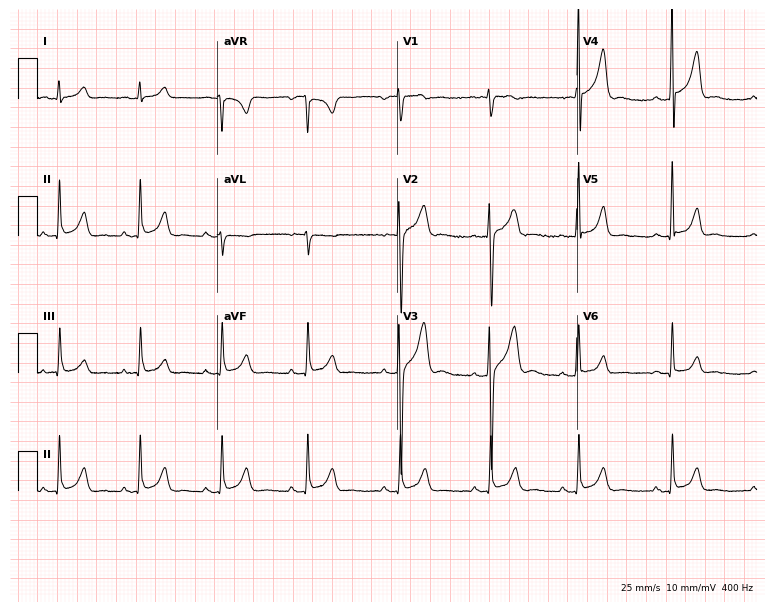
12-lead ECG (7.3-second recording at 400 Hz) from a 24-year-old male patient. Screened for six findings — first-degree AV block, right bundle branch block (RBBB), left bundle branch block (LBBB), sinus bradycardia, atrial fibrillation (AF), sinus tachycardia — none is recorded. Only these six findings were labelled.